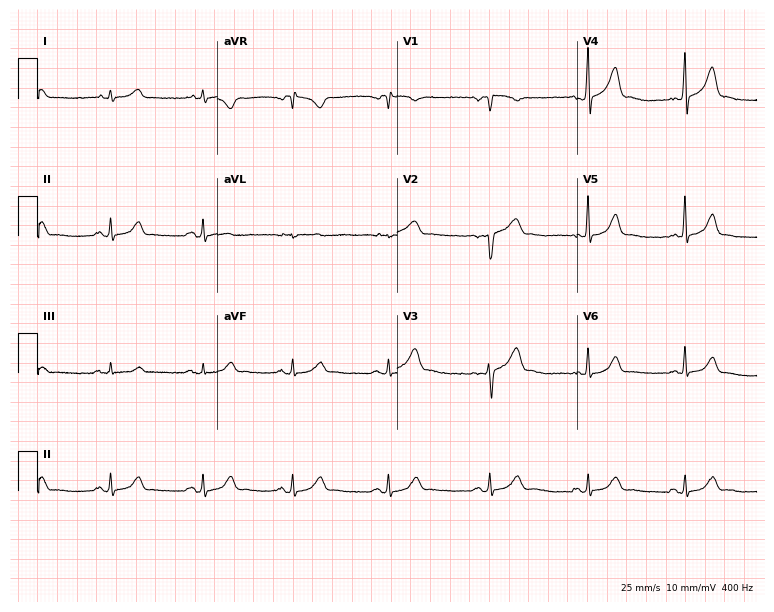
12-lead ECG from a male patient, 35 years old (7.3-second recording at 400 Hz). Recorded interpretation: within normal limits.